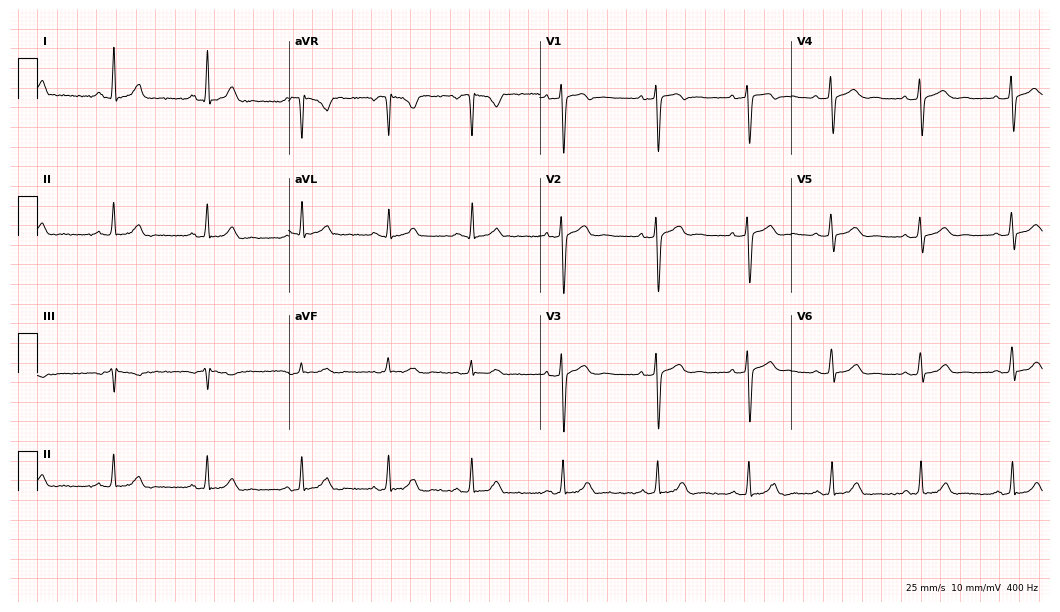
12-lead ECG (10.2-second recording at 400 Hz) from a woman, 30 years old. Screened for six findings — first-degree AV block, right bundle branch block, left bundle branch block, sinus bradycardia, atrial fibrillation, sinus tachycardia — none is recorded. Other findings, if any, are not listed.